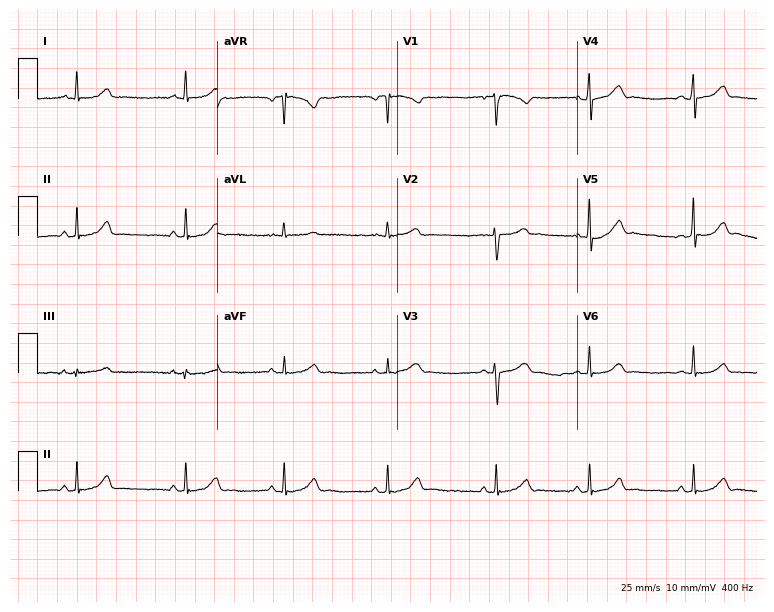
Electrocardiogram, an 18-year-old female patient. Overall reading on record: normal ECG.